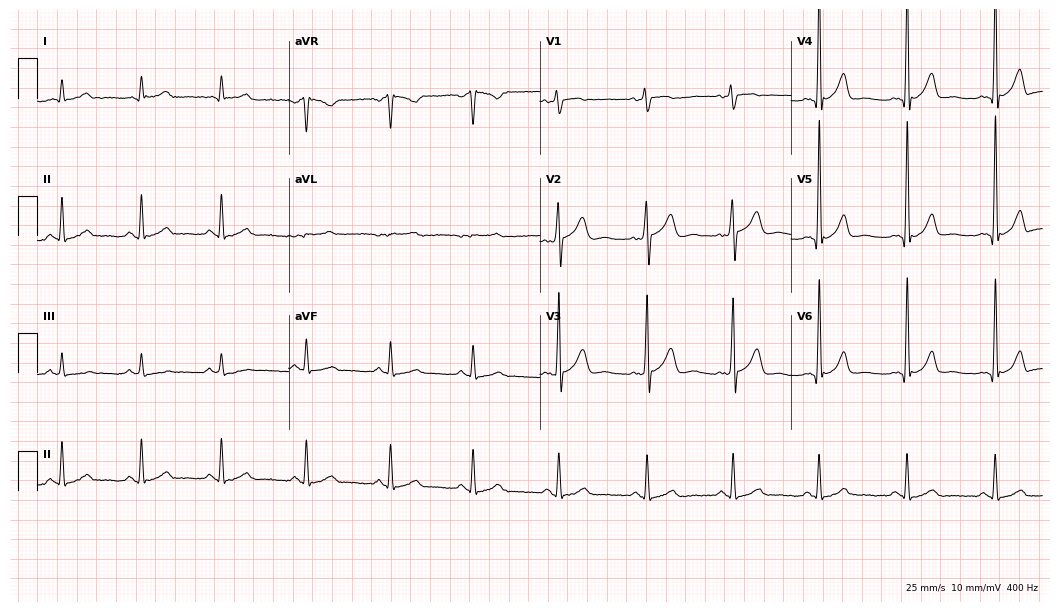
12-lead ECG from a man, 70 years old (10.2-second recording at 400 Hz). No first-degree AV block, right bundle branch block, left bundle branch block, sinus bradycardia, atrial fibrillation or sinus tachycardia recorded for this tracing.